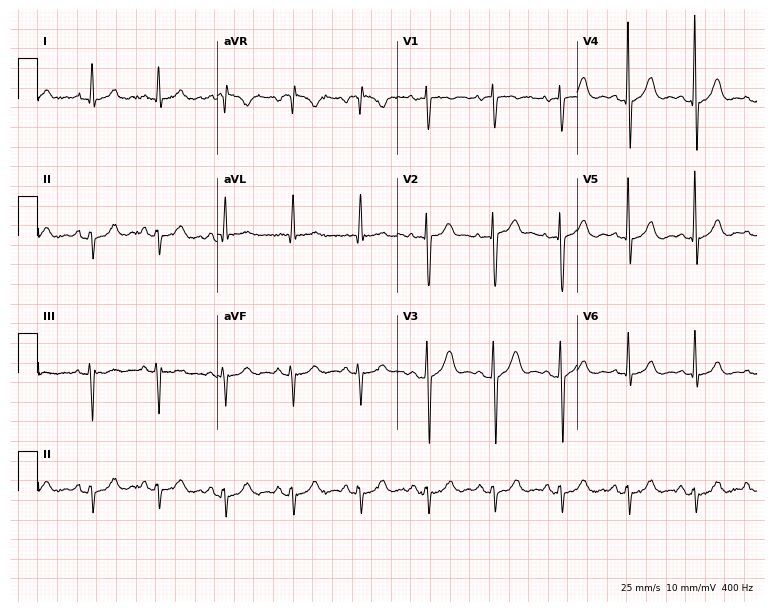
12-lead ECG from a male patient, 64 years old. Screened for six findings — first-degree AV block, right bundle branch block, left bundle branch block, sinus bradycardia, atrial fibrillation, sinus tachycardia — none is recorded.